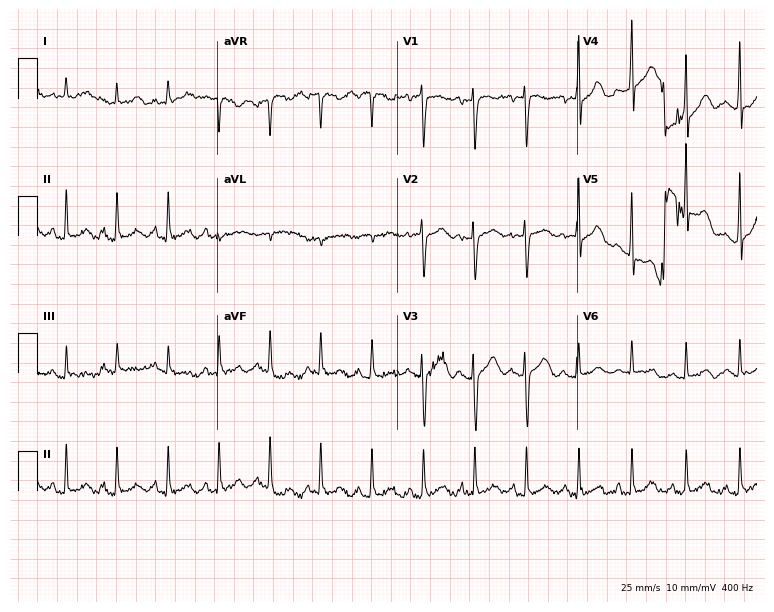
Resting 12-lead electrocardiogram (7.3-second recording at 400 Hz). Patient: a 17-year-old female. None of these six findings is recorded: first-degree AV block, right bundle branch block, left bundle branch block, sinus bradycardia, atrial fibrillation, sinus tachycardia. Only these six findings were labelled.